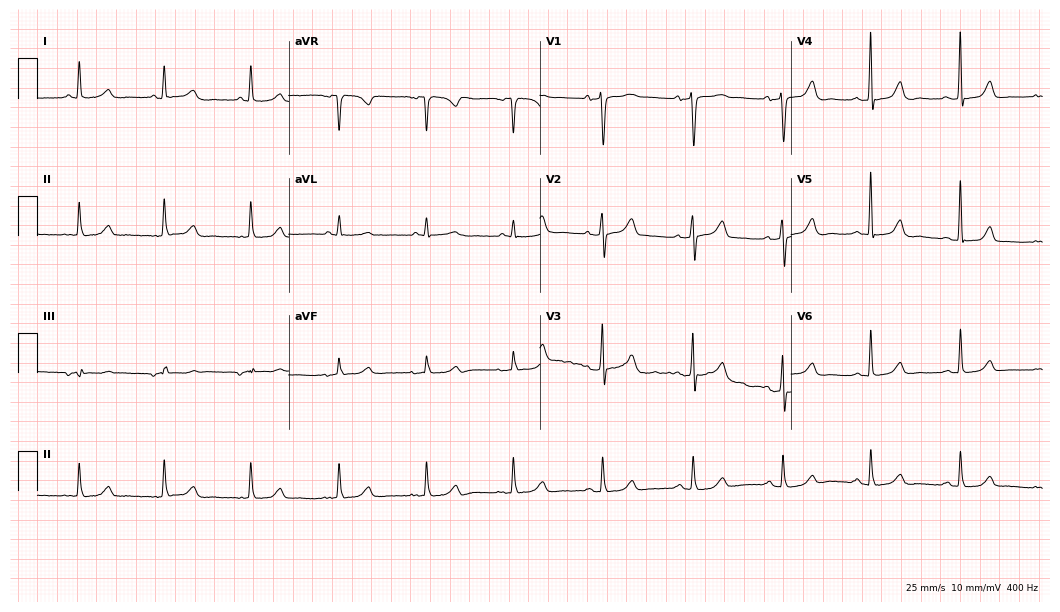
Standard 12-lead ECG recorded from a 75-year-old female patient (10.2-second recording at 400 Hz). Read as a normal ECG.